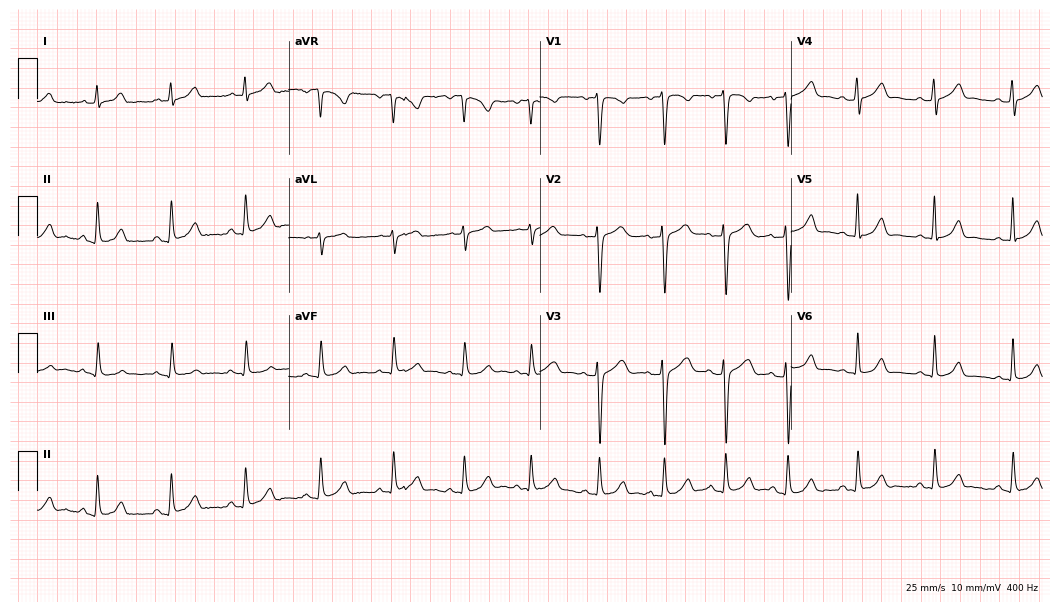
ECG — a 36-year-old female. Screened for six findings — first-degree AV block, right bundle branch block (RBBB), left bundle branch block (LBBB), sinus bradycardia, atrial fibrillation (AF), sinus tachycardia — none is recorded.